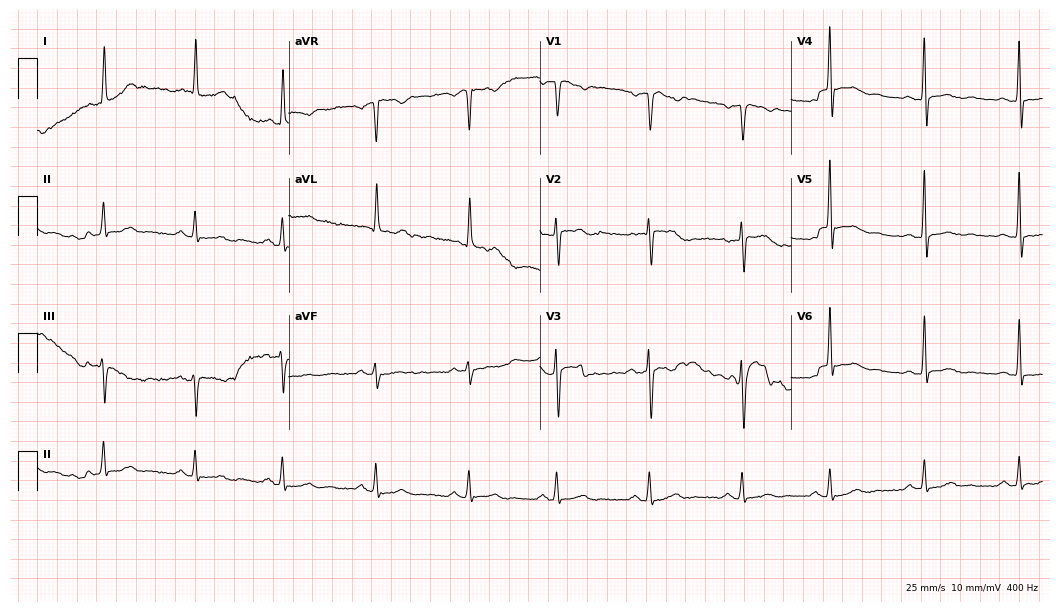
Resting 12-lead electrocardiogram. Patient: a woman, 53 years old. None of these six findings is recorded: first-degree AV block, right bundle branch block, left bundle branch block, sinus bradycardia, atrial fibrillation, sinus tachycardia. Other findings, if any, are not listed.